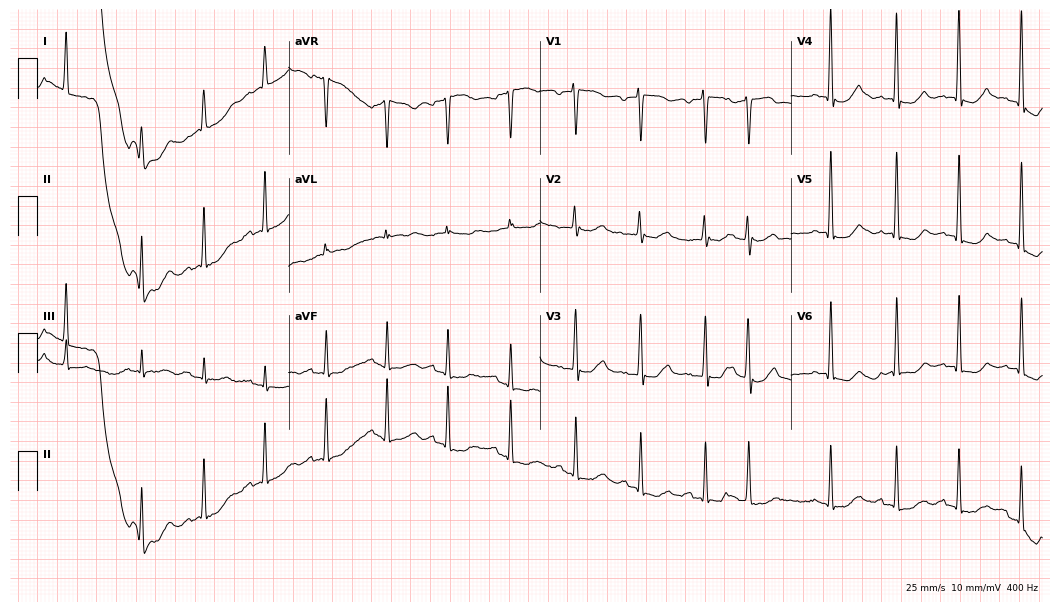
12-lead ECG from a 64-year-old female patient. Screened for six findings — first-degree AV block, right bundle branch block (RBBB), left bundle branch block (LBBB), sinus bradycardia, atrial fibrillation (AF), sinus tachycardia — none is recorded. Other findings, if any, are not listed.